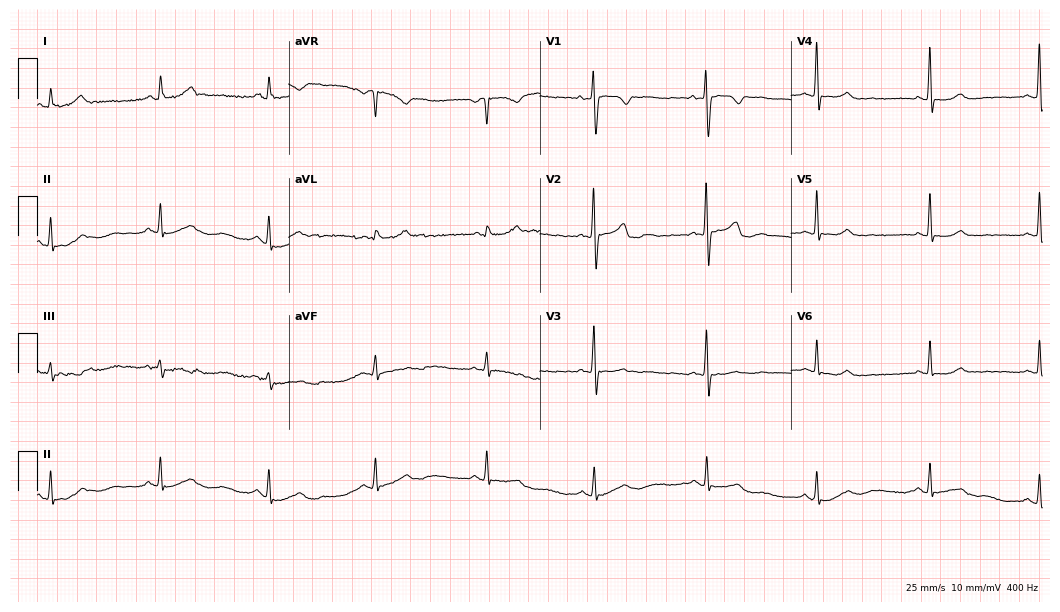
ECG — a female, 65 years old. Screened for six findings — first-degree AV block, right bundle branch block, left bundle branch block, sinus bradycardia, atrial fibrillation, sinus tachycardia — none is recorded.